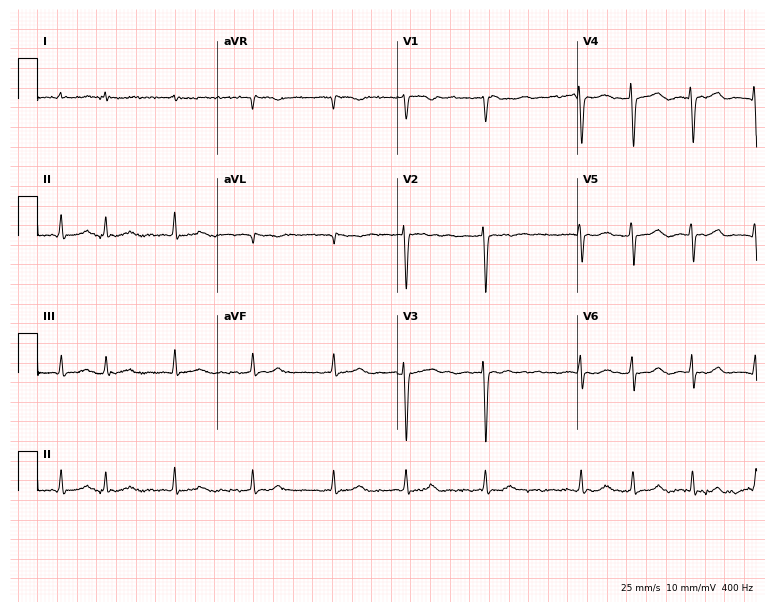
ECG (7.3-second recording at 400 Hz) — a female, 81 years old. Findings include atrial fibrillation.